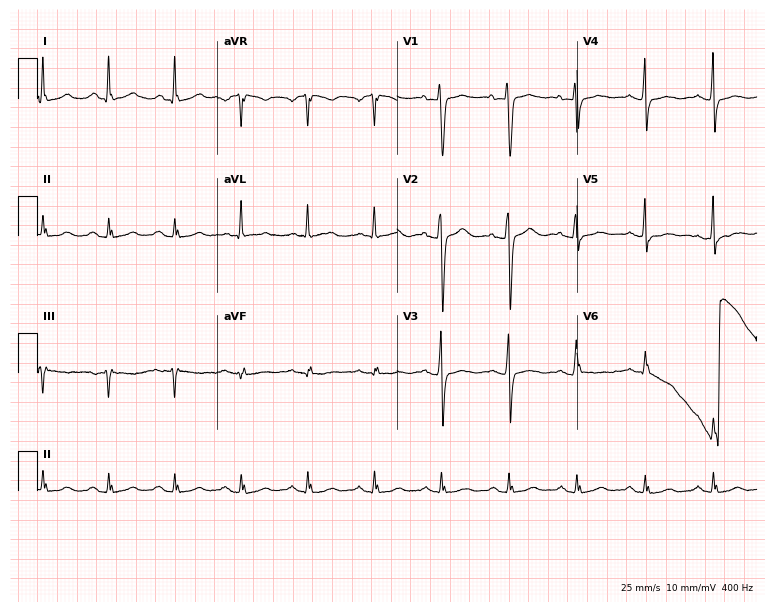
Standard 12-lead ECG recorded from a 53-year-old female. None of these six findings is recorded: first-degree AV block, right bundle branch block, left bundle branch block, sinus bradycardia, atrial fibrillation, sinus tachycardia.